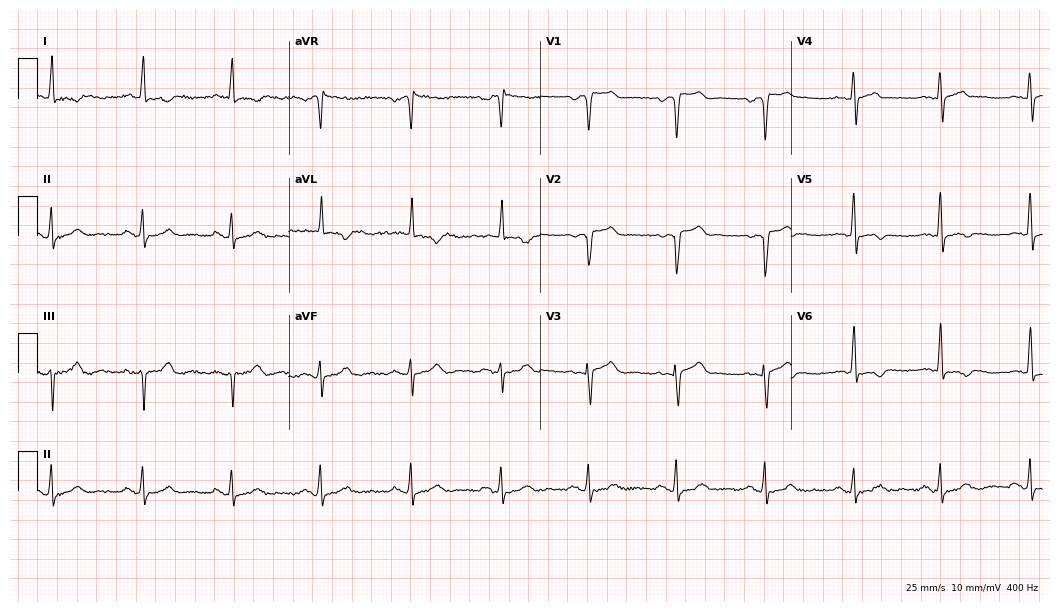
Standard 12-lead ECG recorded from a male patient, 82 years old. None of these six findings is recorded: first-degree AV block, right bundle branch block (RBBB), left bundle branch block (LBBB), sinus bradycardia, atrial fibrillation (AF), sinus tachycardia.